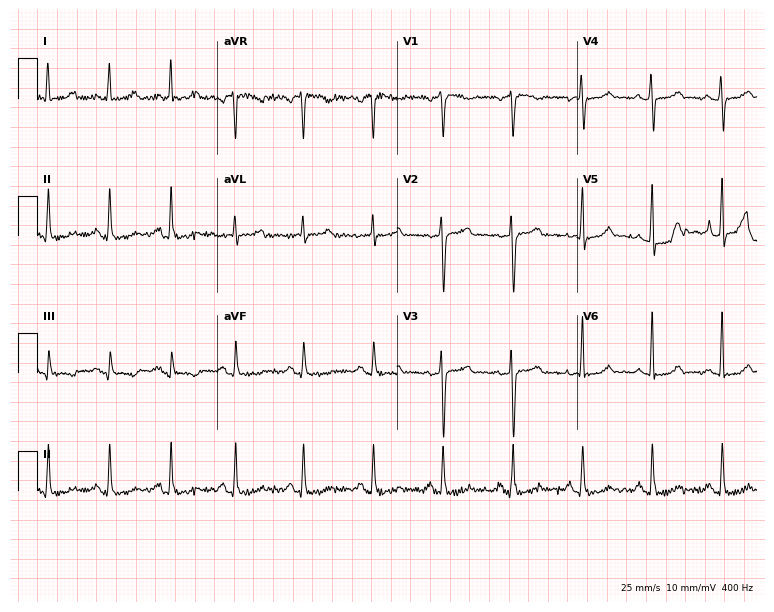
Electrocardiogram (7.3-second recording at 400 Hz), a female, 57 years old. Of the six screened findings (first-degree AV block, right bundle branch block (RBBB), left bundle branch block (LBBB), sinus bradycardia, atrial fibrillation (AF), sinus tachycardia), none is recorded. Findings outside these six are not listed.